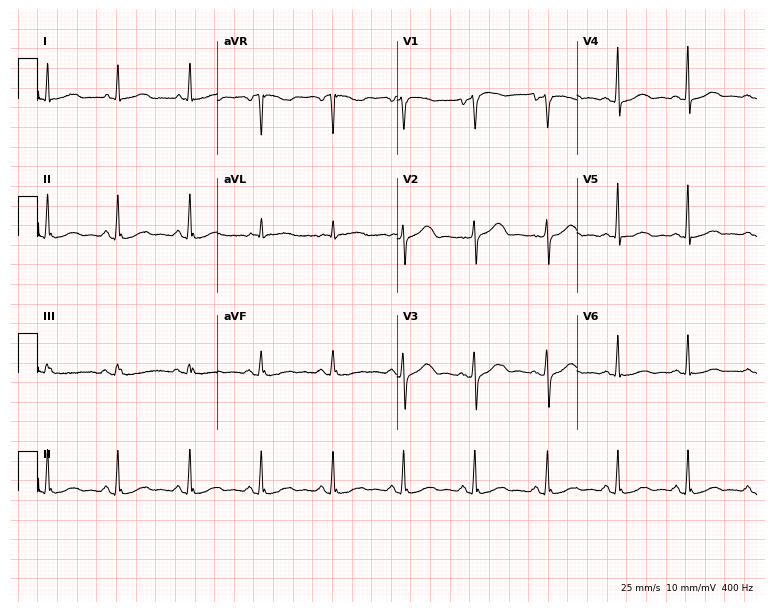
12-lead ECG from a woman, 56 years old (7.3-second recording at 400 Hz). No first-degree AV block, right bundle branch block, left bundle branch block, sinus bradycardia, atrial fibrillation or sinus tachycardia recorded for this tracing. Only these six findings were labelled.